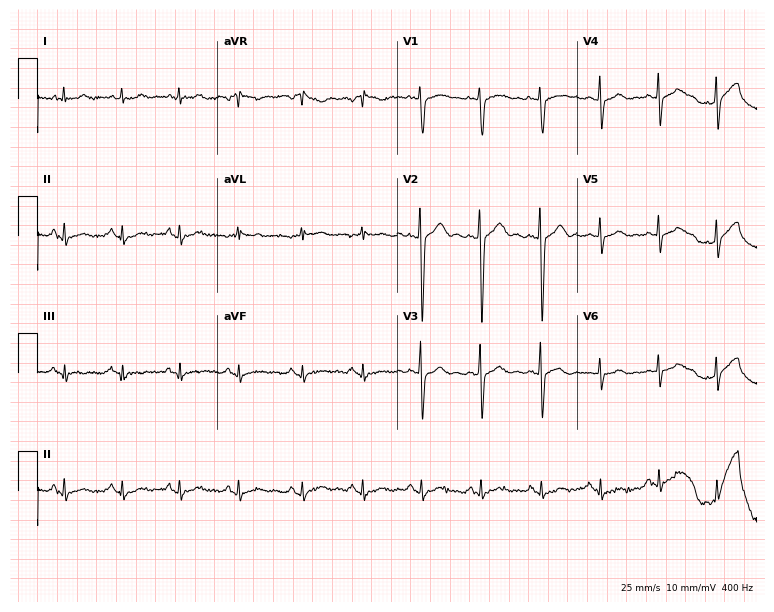
12-lead ECG (7.3-second recording at 400 Hz) from a 24-year-old woman. Screened for six findings — first-degree AV block, right bundle branch block, left bundle branch block, sinus bradycardia, atrial fibrillation, sinus tachycardia — none is recorded. Findings outside these six are not listed.